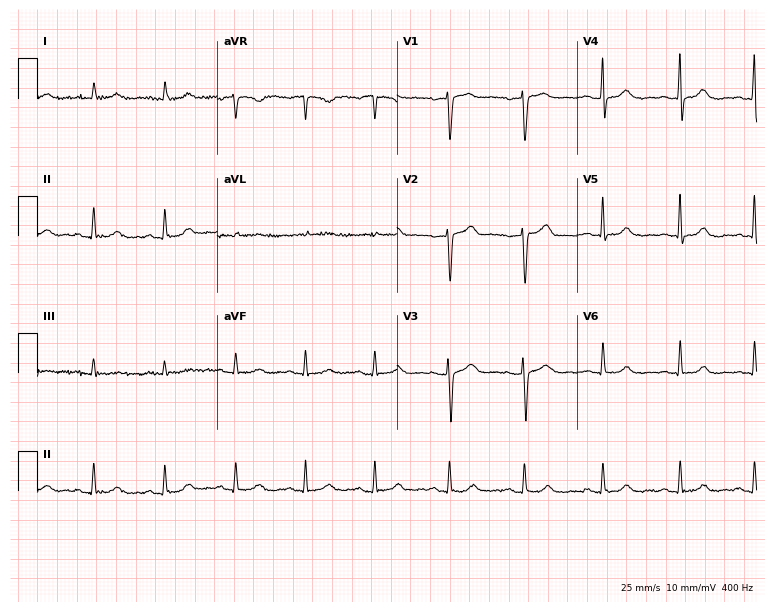
12-lead ECG (7.3-second recording at 400 Hz) from a female patient, 61 years old. Labelled as a normal ECG.